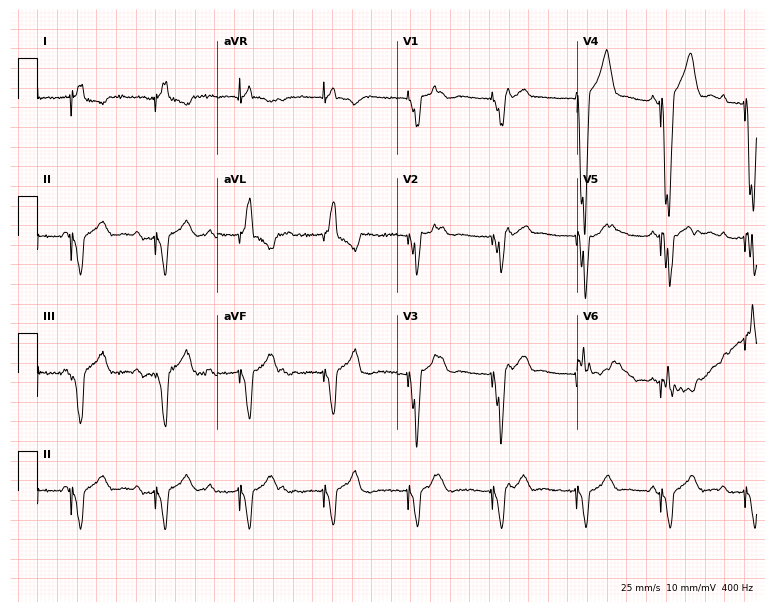
12-lead ECG from a female, 80 years old. No first-degree AV block, right bundle branch block (RBBB), left bundle branch block (LBBB), sinus bradycardia, atrial fibrillation (AF) or sinus tachycardia recorded for this tracing. Findings outside these six are not listed.